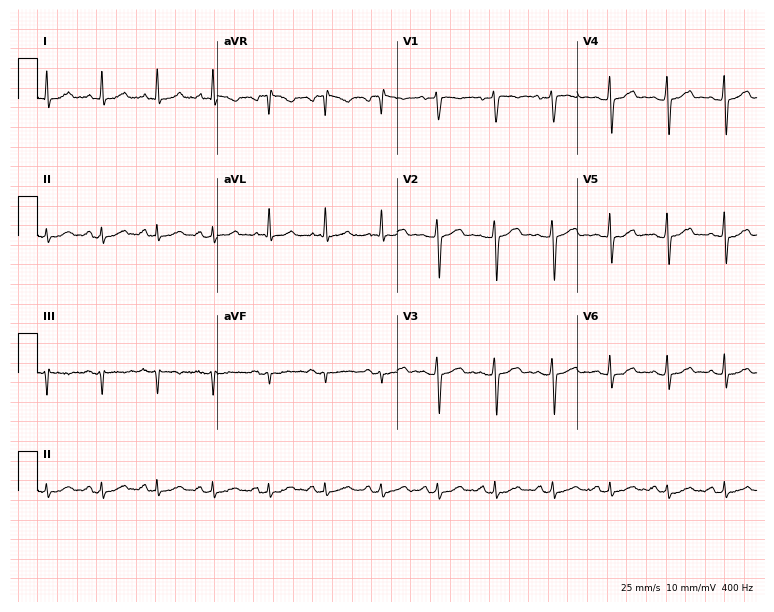
12-lead ECG (7.3-second recording at 400 Hz) from a female patient, 43 years old. Screened for six findings — first-degree AV block, right bundle branch block, left bundle branch block, sinus bradycardia, atrial fibrillation, sinus tachycardia — none is recorded.